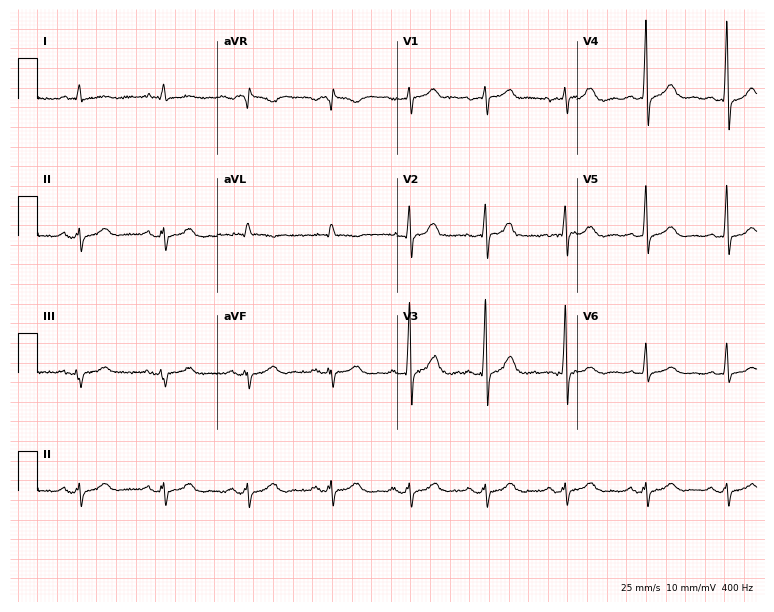
12-lead ECG (7.3-second recording at 400 Hz) from a man, 70 years old. Screened for six findings — first-degree AV block, right bundle branch block, left bundle branch block, sinus bradycardia, atrial fibrillation, sinus tachycardia — none is recorded. Only these six findings were labelled.